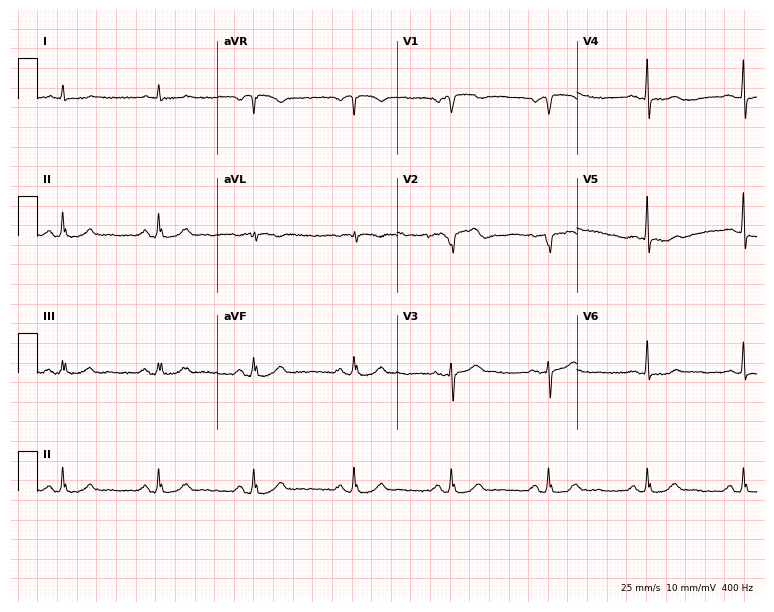
Standard 12-lead ECG recorded from a male patient, 65 years old (7.3-second recording at 400 Hz). Read as a normal ECG.